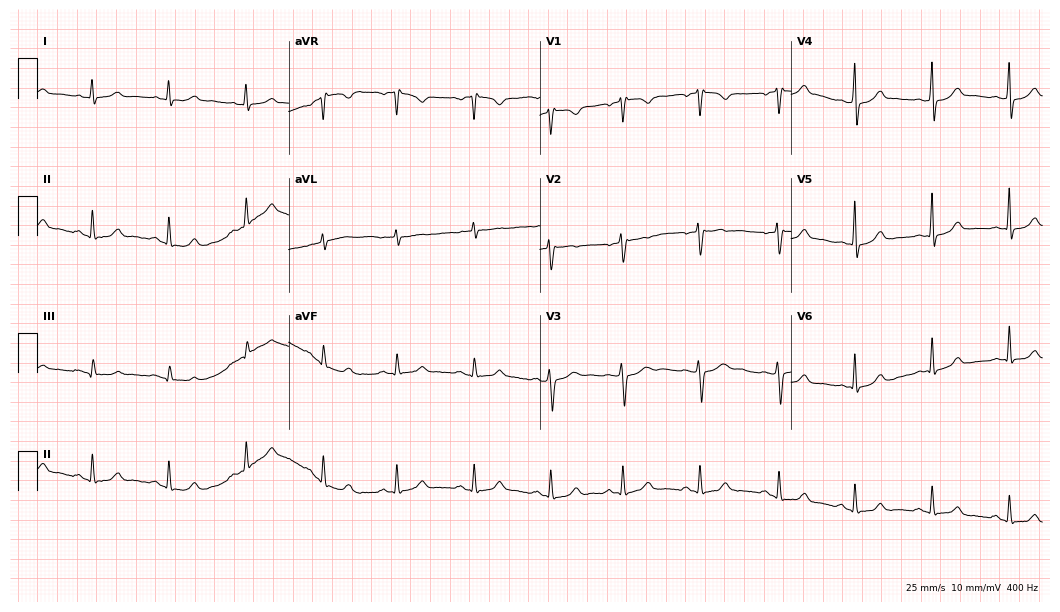
Standard 12-lead ECG recorded from a woman, 40 years old. None of these six findings is recorded: first-degree AV block, right bundle branch block (RBBB), left bundle branch block (LBBB), sinus bradycardia, atrial fibrillation (AF), sinus tachycardia. Only these six findings were labelled.